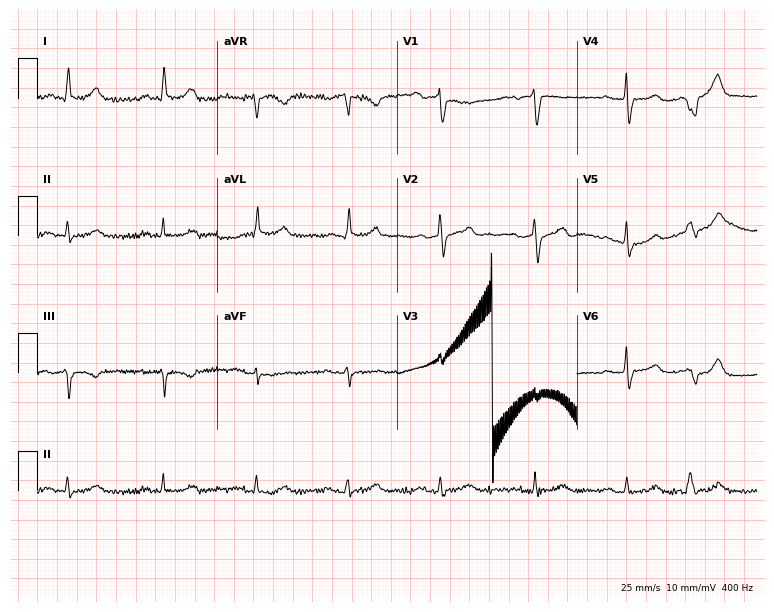
ECG (7.3-second recording at 400 Hz) — a female patient, 82 years old. Labelled as a normal ECG.